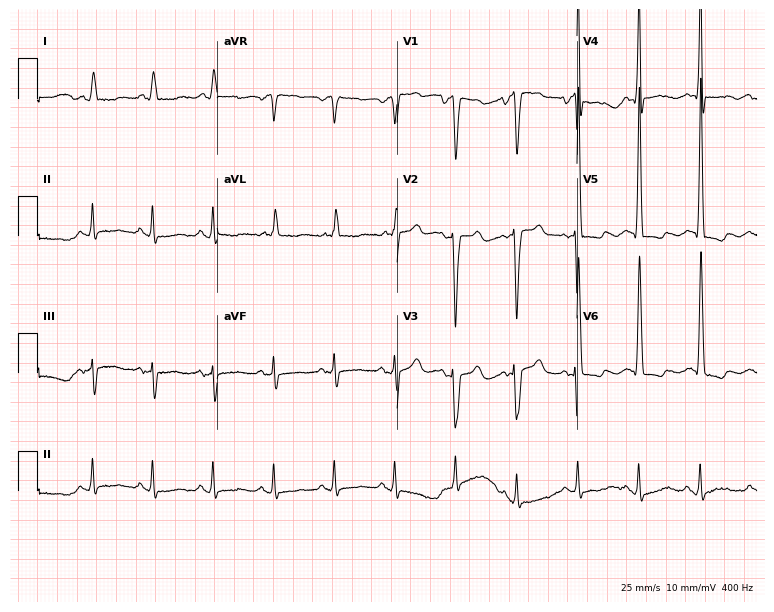
12-lead ECG from a male patient, 77 years old. No first-degree AV block, right bundle branch block, left bundle branch block, sinus bradycardia, atrial fibrillation or sinus tachycardia recorded for this tracing. Findings outside these six are not listed.